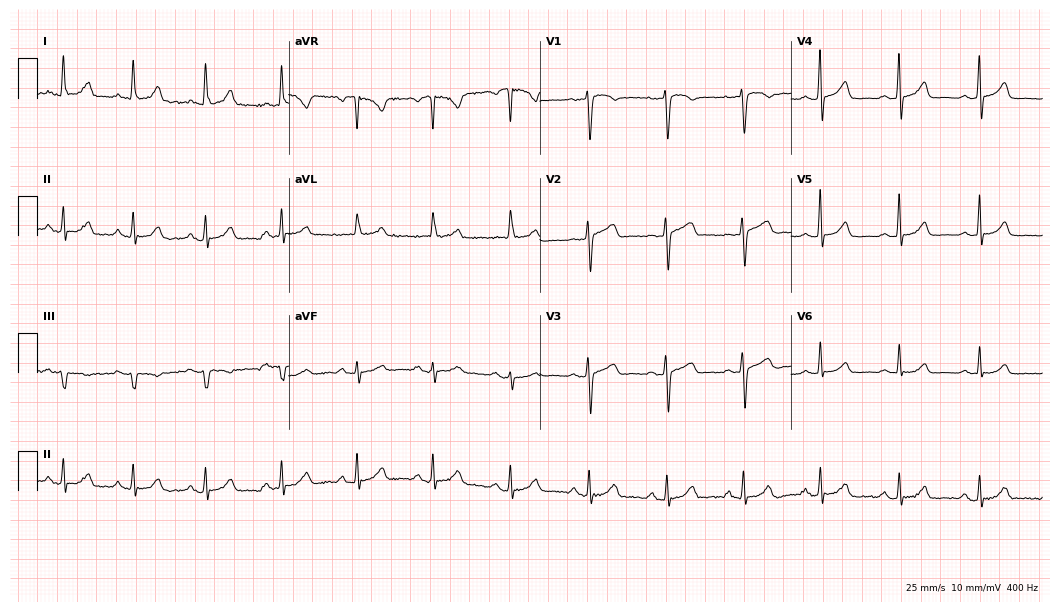
ECG — a woman, 55 years old. Labelled as a normal ECG.